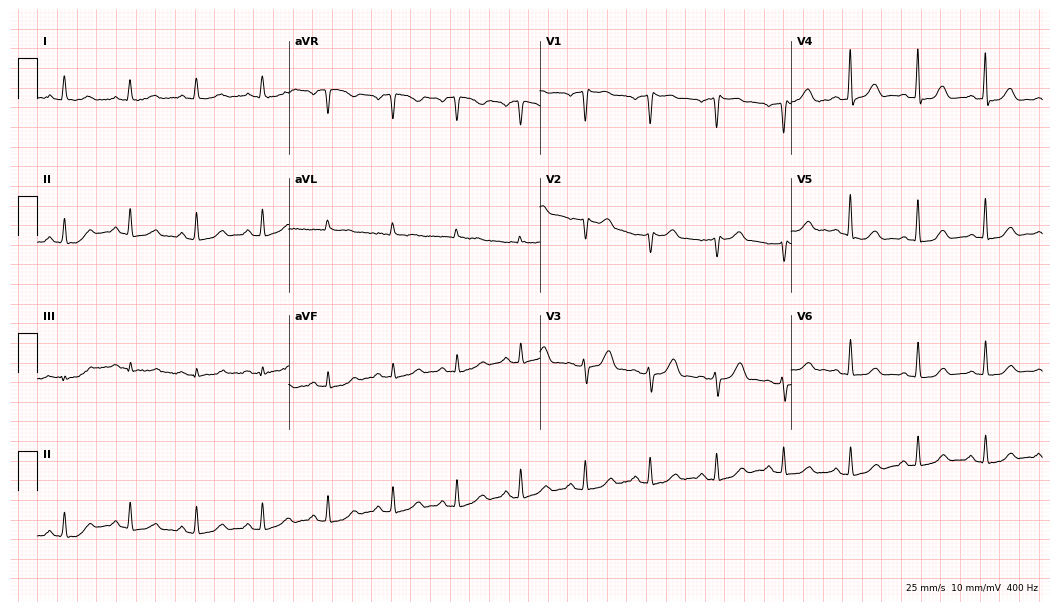
Resting 12-lead electrocardiogram (10.2-second recording at 400 Hz). Patient: a 65-year-old woman. None of these six findings is recorded: first-degree AV block, right bundle branch block, left bundle branch block, sinus bradycardia, atrial fibrillation, sinus tachycardia. Other findings, if any, are not listed.